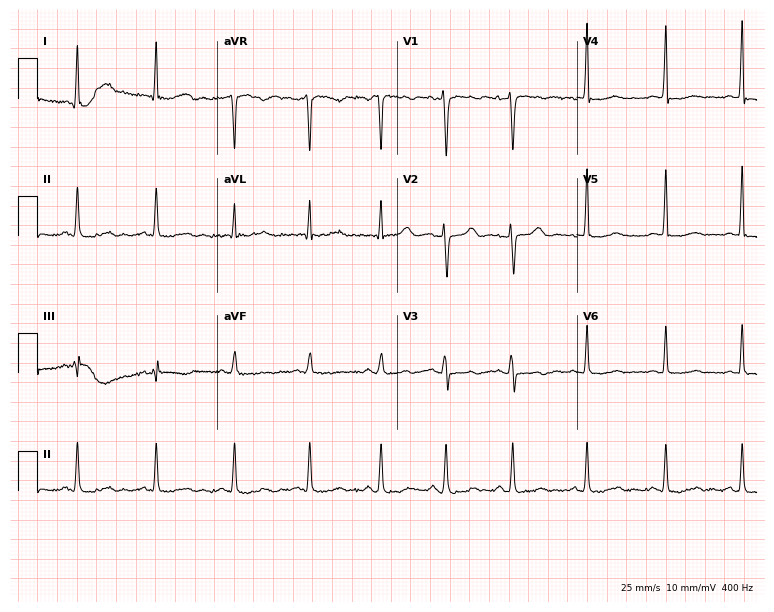
Standard 12-lead ECG recorded from a woman, 45 years old (7.3-second recording at 400 Hz). None of these six findings is recorded: first-degree AV block, right bundle branch block, left bundle branch block, sinus bradycardia, atrial fibrillation, sinus tachycardia. Only these six findings were labelled.